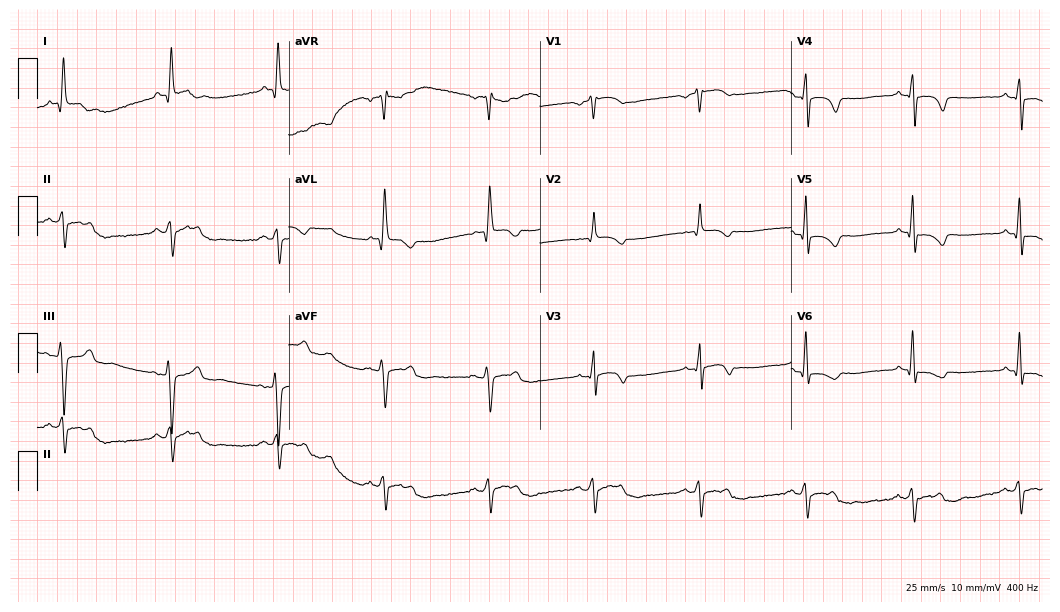
Electrocardiogram, a 76-year-old man. Of the six screened findings (first-degree AV block, right bundle branch block, left bundle branch block, sinus bradycardia, atrial fibrillation, sinus tachycardia), none is recorded.